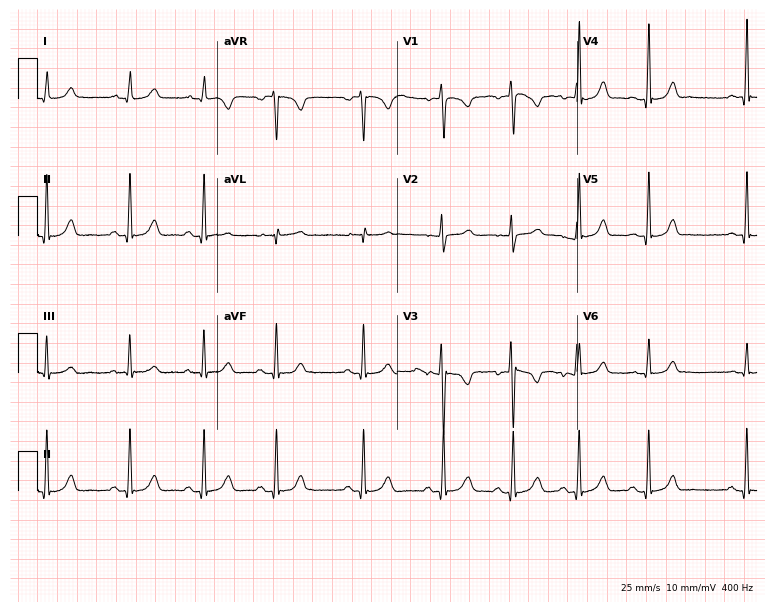
Standard 12-lead ECG recorded from a 23-year-old woman. Read as a normal ECG.